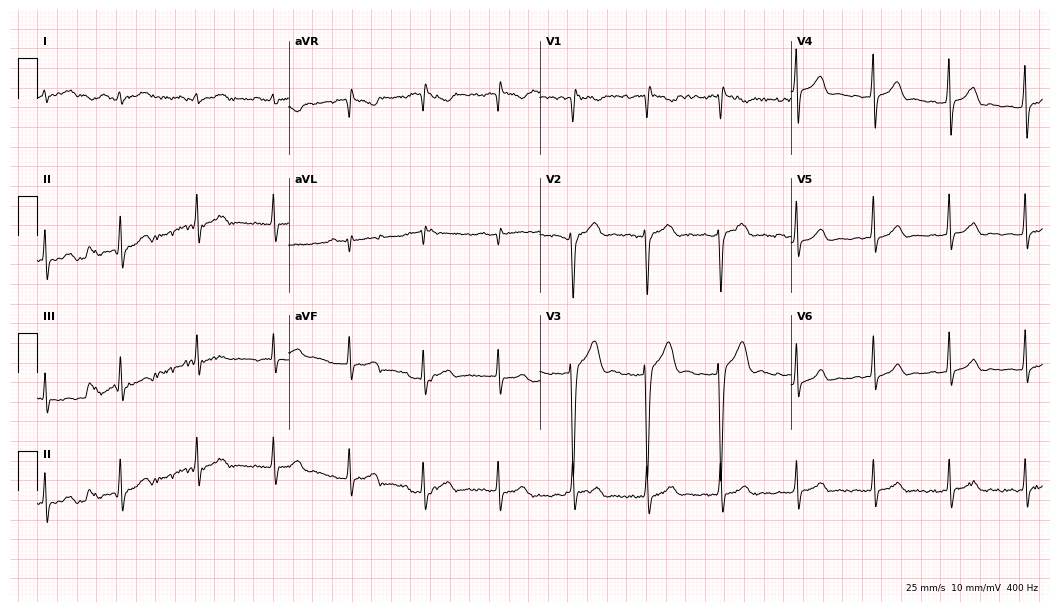
12-lead ECG from a male, 18 years old (10.2-second recording at 400 Hz). No first-degree AV block, right bundle branch block, left bundle branch block, sinus bradycardia, atrial fibrillation or sinus tachycardia recorded for this tracing. Findings outside these six are not listed.